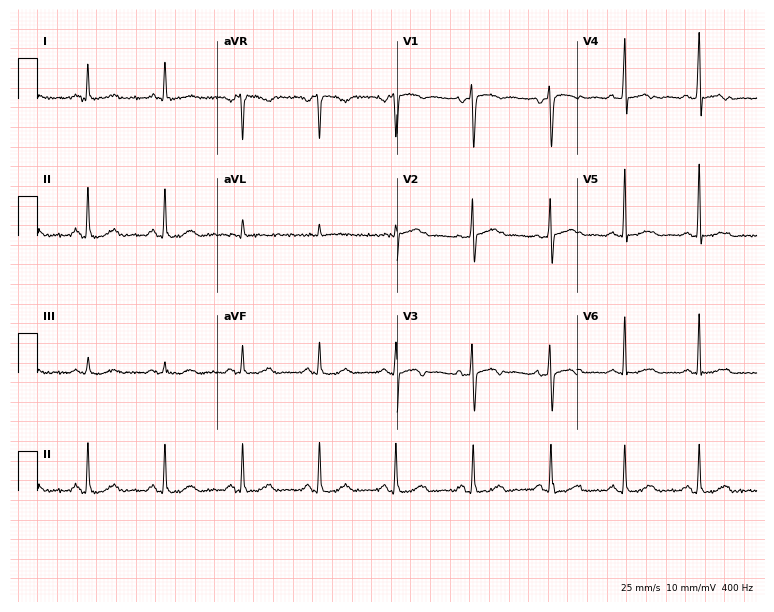
Electrocardiogram (7.3-second recording at 400 Hz), a 72-year-old female. Of the six screened findings (first-degree AV block, right bundle branch block (RBBB), left bundle branch block (LBBB), sinus bradycardia, atrial fibrillation (AF), sinus tachycardia), none is recorded.